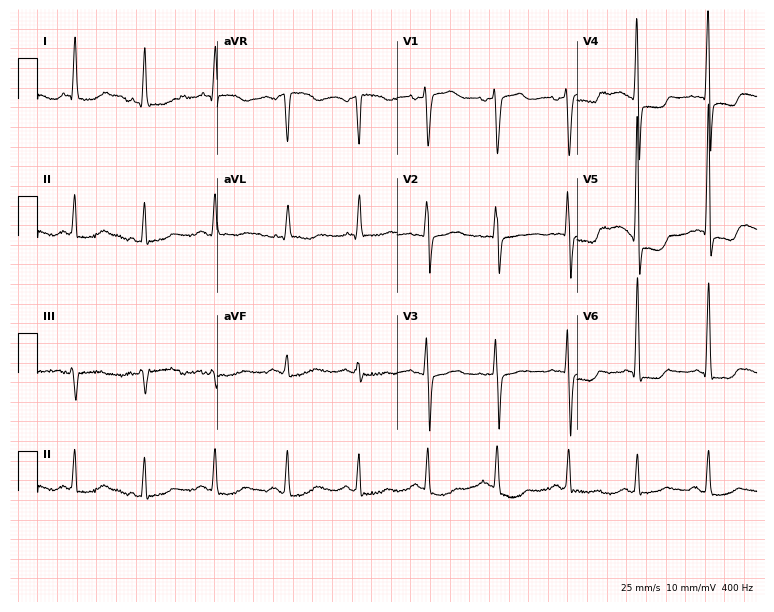
12-lead ECG from an 85-year-old female patient. No first-degree AV block, right bundle branch block, left bundle branch block, sinus bradycardia, atrial fibrillation or sinus tachycardia recorded for this tracing. Findings outside these six are not listed.